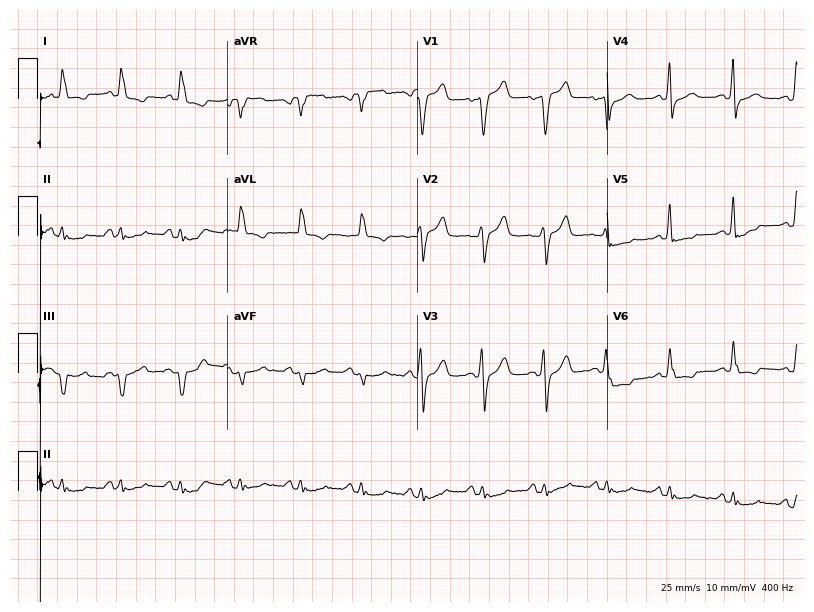
Standard 12-lead ECG recorded from a male patient, 61 years old. None of these six findings is recorded: first-degree AV block, right bundle branch block, left bundle branch block, sinus bradycardia, atrial fibrillation, sinus tachycardia. Only these six findings were labelled.